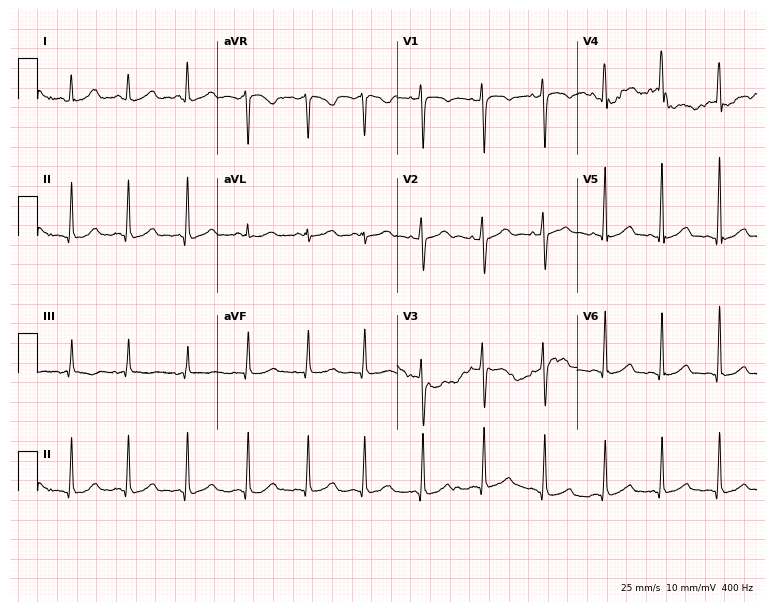
Electrocardiogram (7.3-second recording at 400 Hz), a 36-year-old woman. Interpretation includes sinus tachycardia (a sinus rate of 100 beats per minute or more).